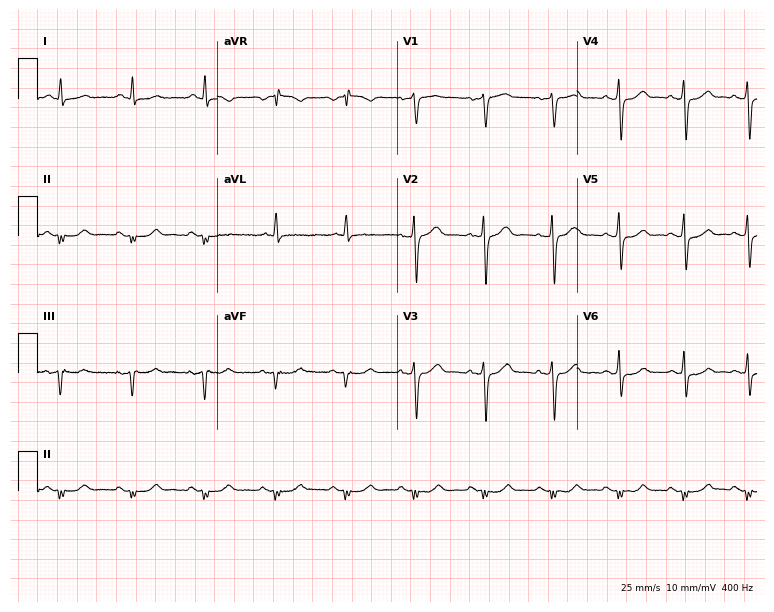
Electrocardiogram (7.3-second recording at 400 Hz), a man, 62 years old. Of the six screened findings (first-degree AV block, right bundle branch block, left bundle branch block, sinus bradycardia, atrial fibrillation, sinus tachycardia), none is recorded.